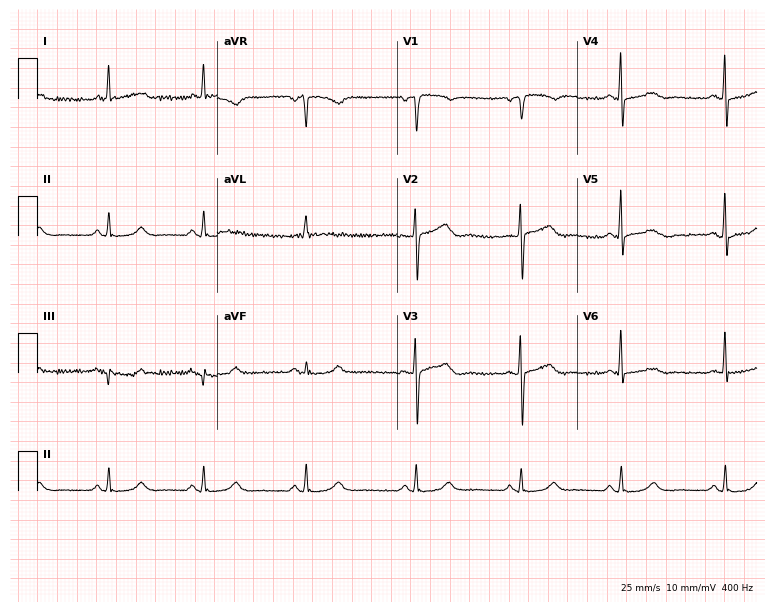
Standard 12-lead ECG recorded from a 51-year-old female patient (7.3-second recording at 400 Hz). Read as a normal ECG.